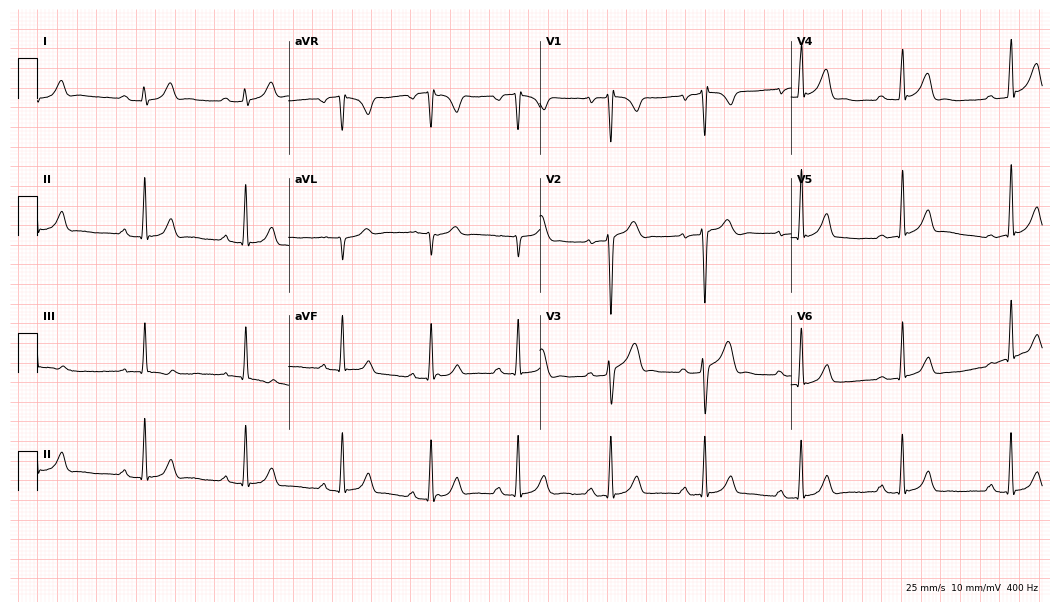
Standard 12-lead ECG recorded from a 33-year-old male. Read as a normal ECG.